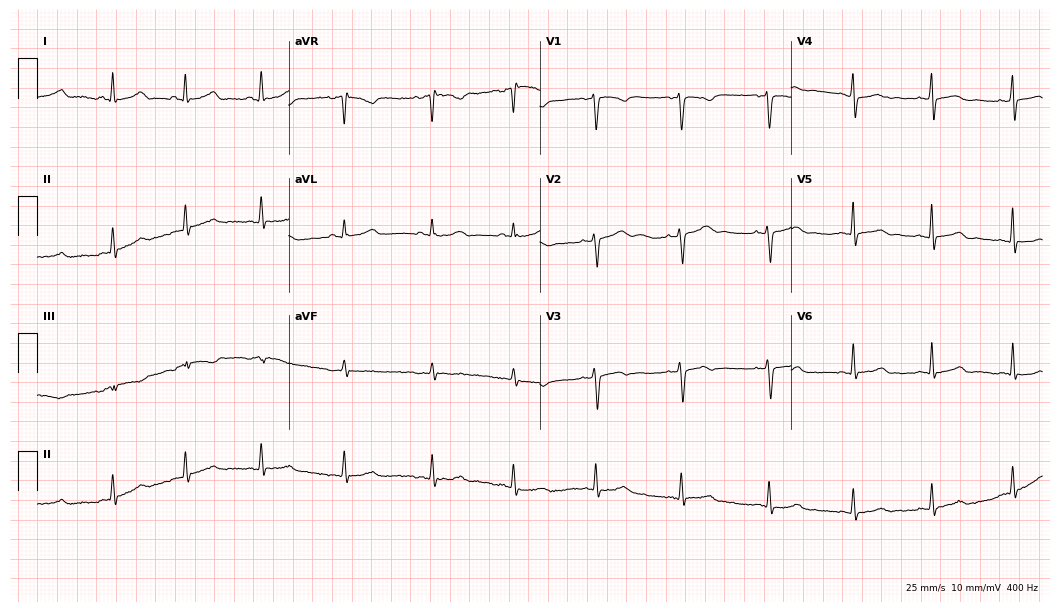
Electrocardiogram (10.2-second recording at 400 Hz), a 23-year-old female patient. Overall reading on record: normal ECG.